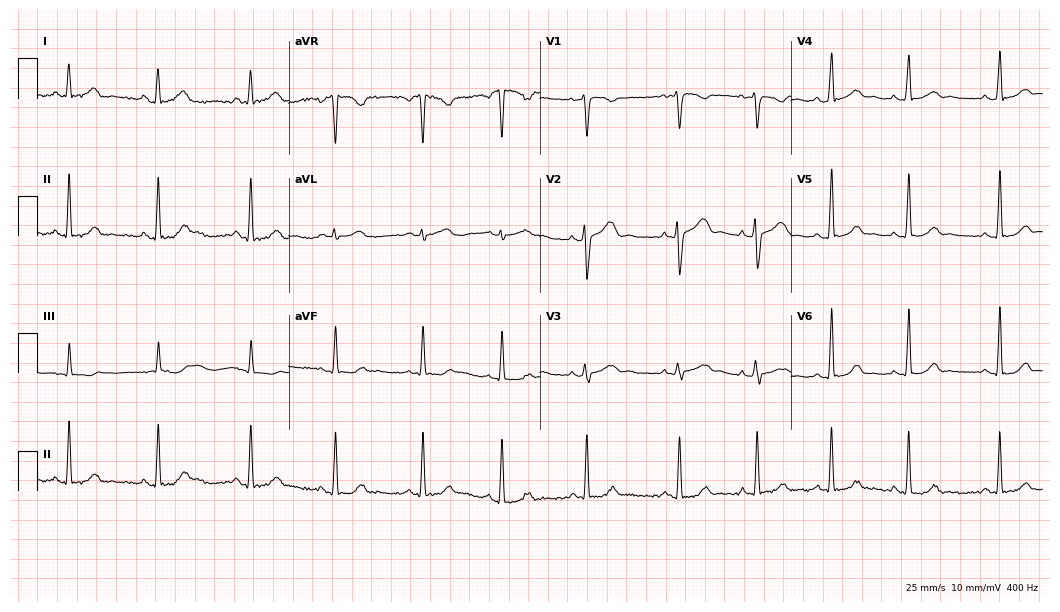
Resting 12-lead electrocardiogram (10.2-second recording at 400 Hz). Patient: a 22-year-old female. Read as a normal ECG.